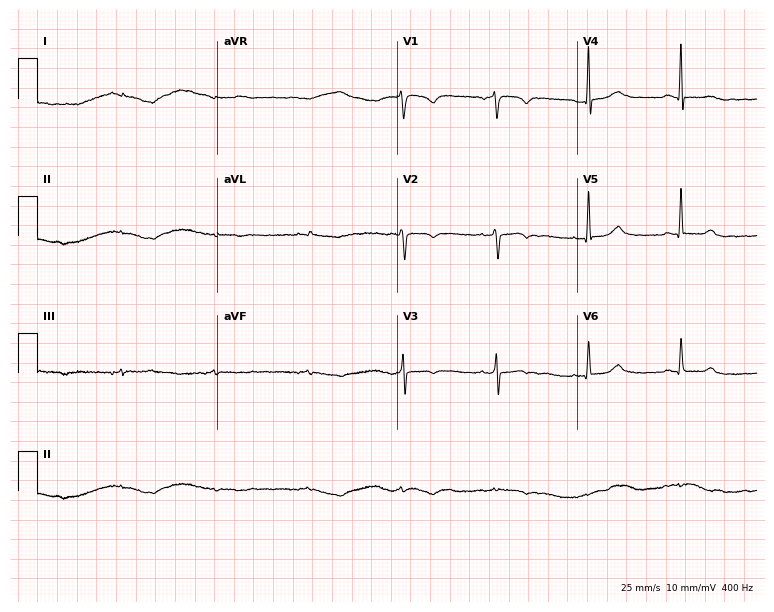
Resting 12-lead electrocardiogram (7.3-second recording at 400 Hz). Patient: a female, 73 years old. None of these six findings is recorded: first-degree AV block, right bundle branch block, left bundle branch block, sinus bradycardia, atrial fibrillation, sinus tachycardia. Only these six findings were labelled.